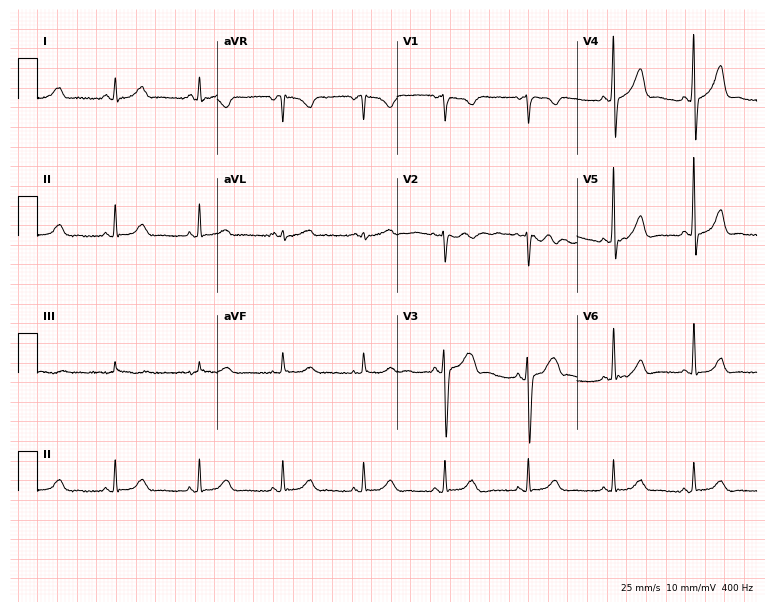
12-lead ECG from a 38-year-old female patient. Screened for six findings — first-degree AV block, right bundle branch block, left bundle branch block, sinus bradycardia, atrial fibrillation, sinus tachycardia — none is recorded. Findings outside these six are not listed.